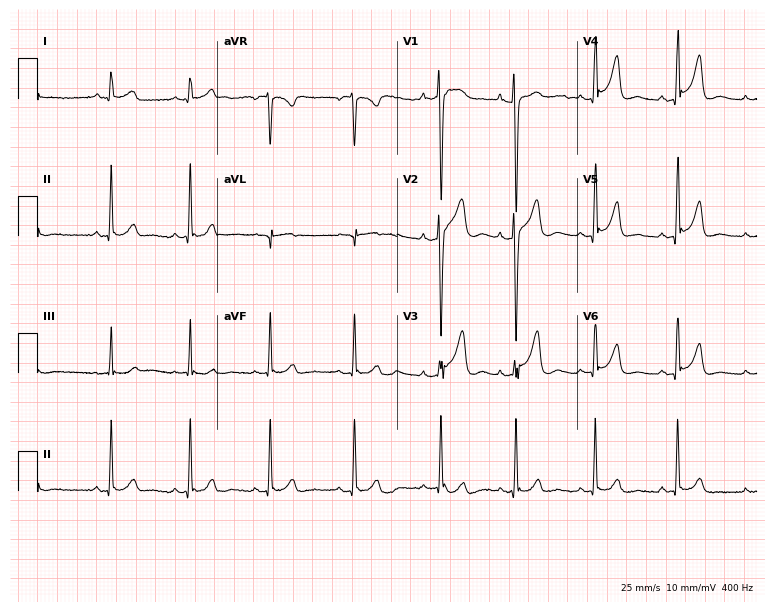
Standard 12-lead ECG recorded from a 36-year-old female patient. None of these six findings is recorded: first-degree AV block, right bundle branch block (RBBB), left bundle branch block (LBBB), sinus bradycardia, atrial fibrillation (AF), sinus tachycardia.